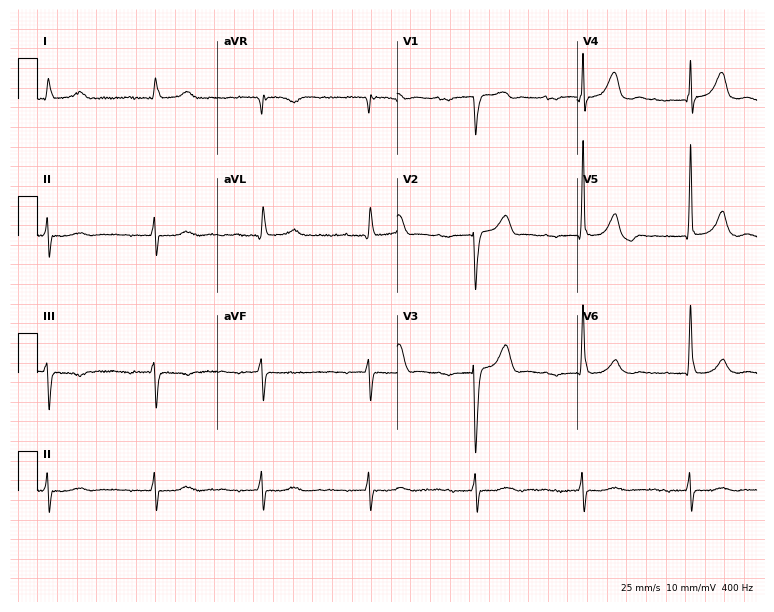
Electrocardiogram, a male patient, 67 years old. Interpretation includes first-degree AV block.